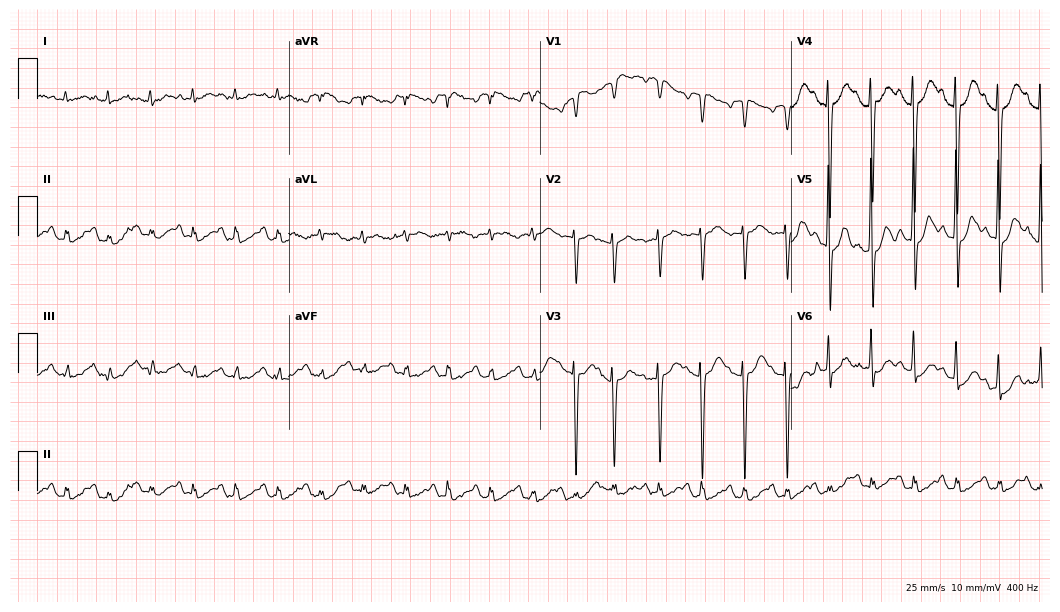
Resting 12-lead electrocardiogram (10.2-second recording at 400 Hz). Patient: a female, 82 years old. None of these six findings is recorded: first-degree AV block, right bundle branch block, left bundle branch block, sinus bradycardia, atrial fibrillation, sinus tachycardia. Findings outside these six are not listed.